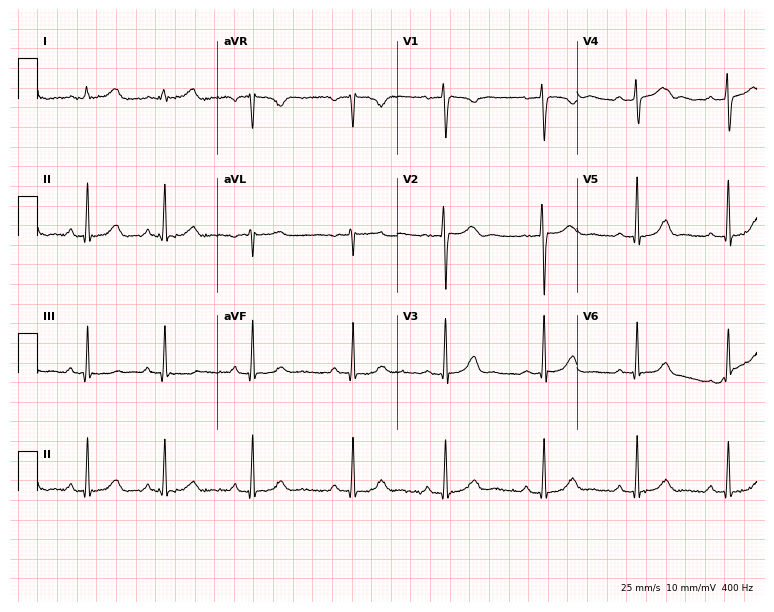
Standard 12-lead ECG recorded from a 27-year-old woman. Read as a normal ECG.